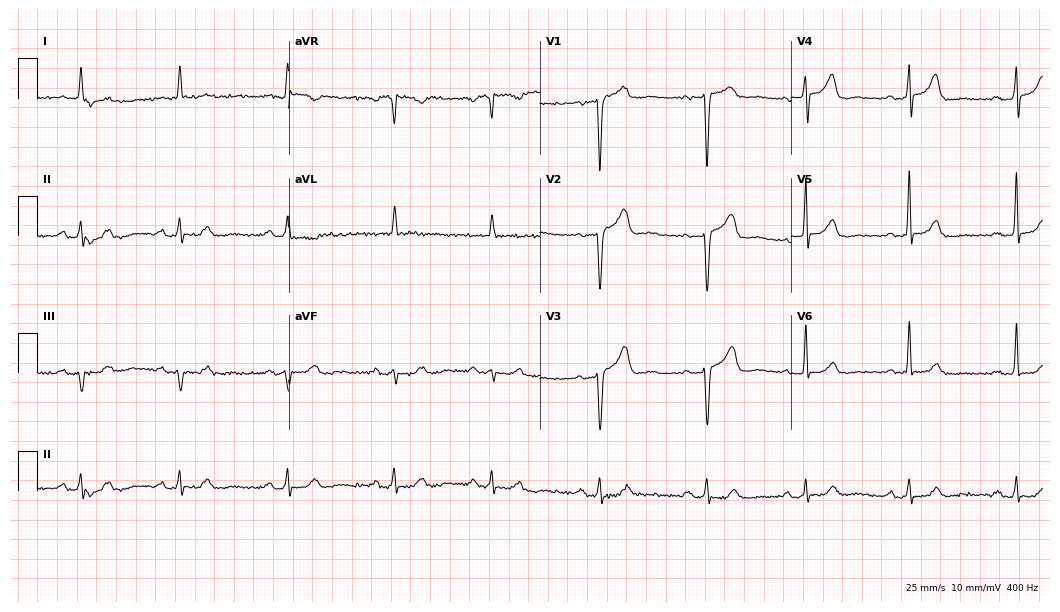
12-lead ECG (10.2-second recording at 400 Hz) from a female patient, 77 years old. Screened for six findings — first-degree AV block, right bundle branch block, left bundle branch block, sinus bradycardia, atrial fibrillation, sinus tachycardia — none is recorded.